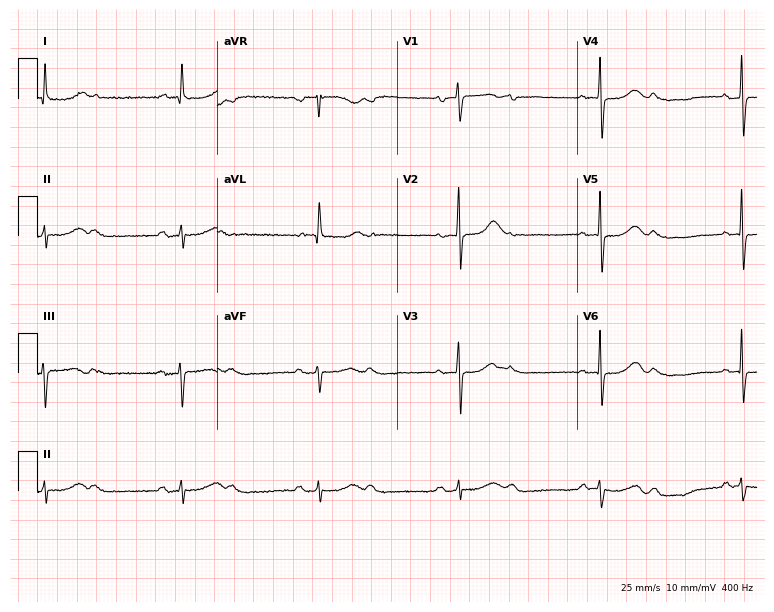
Standard 12-lead ECG recorded from a 78-year-old female (7.3-second recording at 400 Hz). None of these six findings is recorded: first-degree AV block, right bundle branch block (RBBB), left bundle branch block (LBBB), sinus bradycardia, atrial fibrillation (AF), sinus tachycardia.